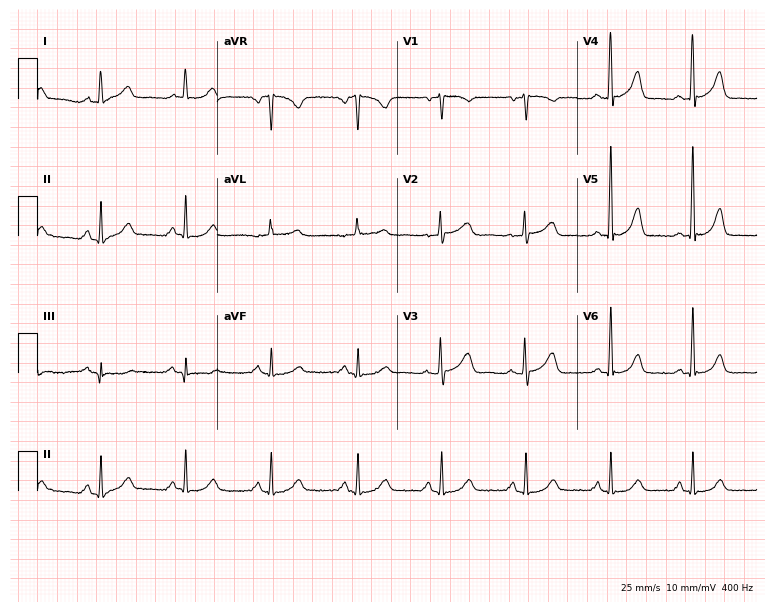
12-lead ECG from a female, 73 years old. Recorded interpretation: within normal limits.